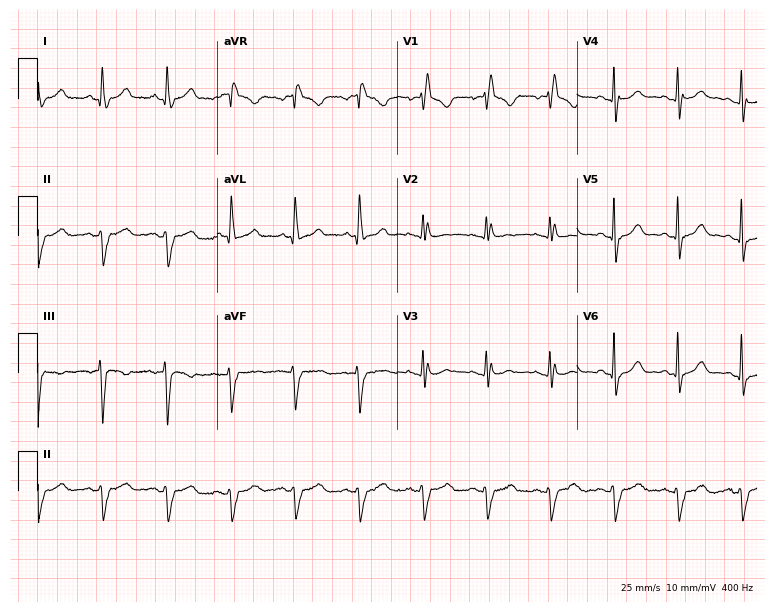
12-lead ECG from a female, 52 years old. Findings include right bundle branch block.